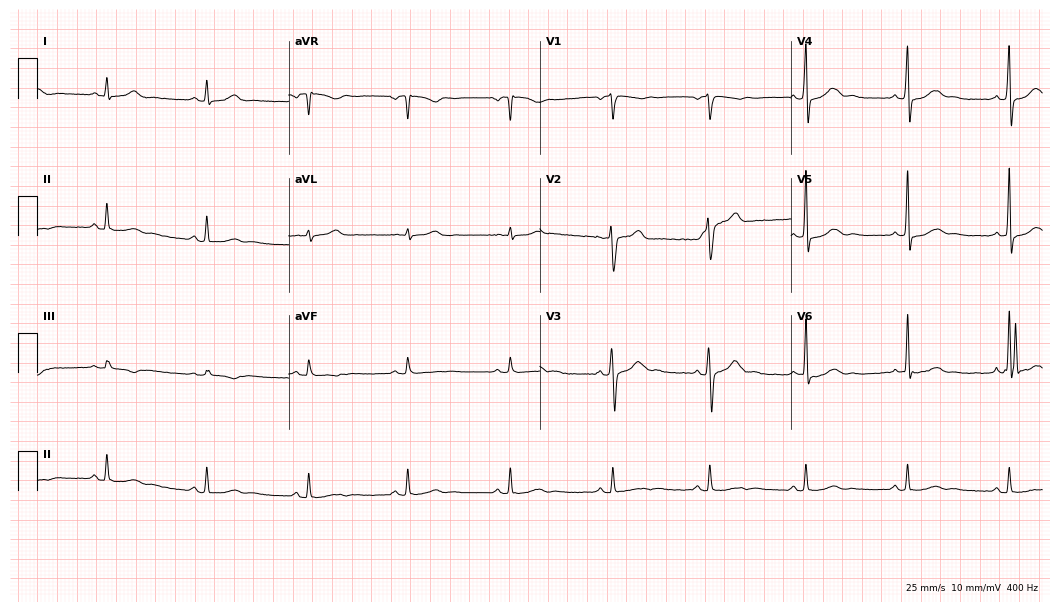
12-lead ECG from a male, 35 years old. Recorded interpretation: within normal limits.